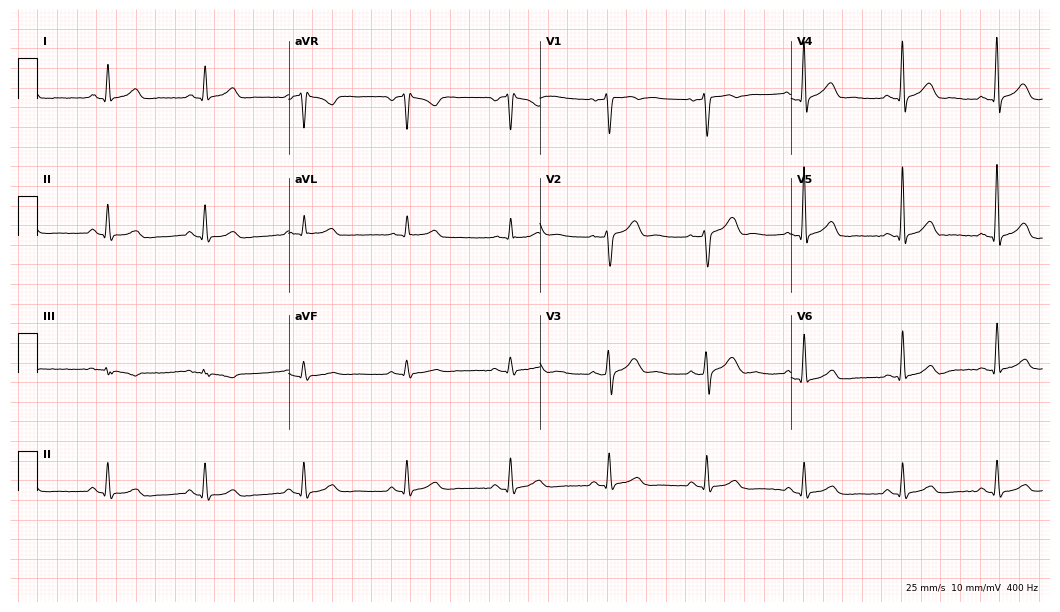
12-lead ECG from a male patient, 65 years old. Recorded interpretation: within normal limits.